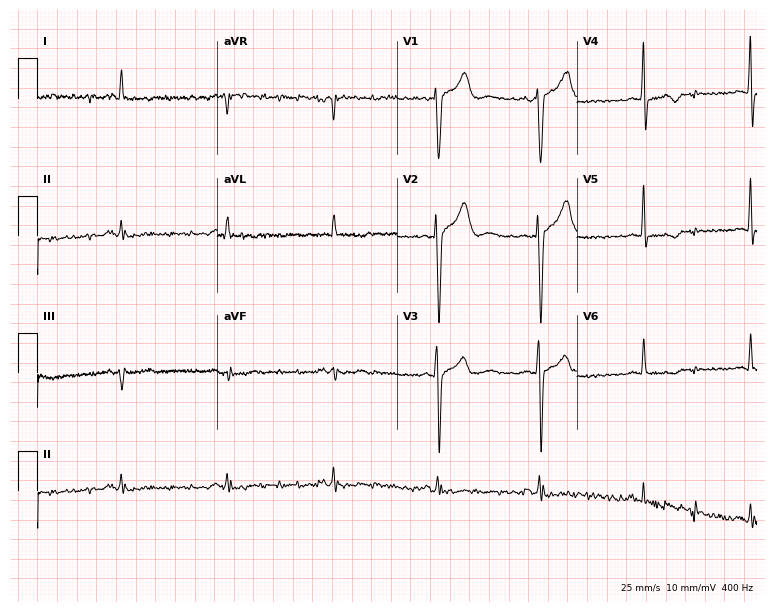
Standard 12-lead ECG recorded from a male, 71 years old (7.3-second recording at 400 Hz). None of these six findings is recorded: first-degree AV block, right bundle branch block, left bundle branch block, sinus bradycardia, atrial fibrillation, sinus tachycardia.